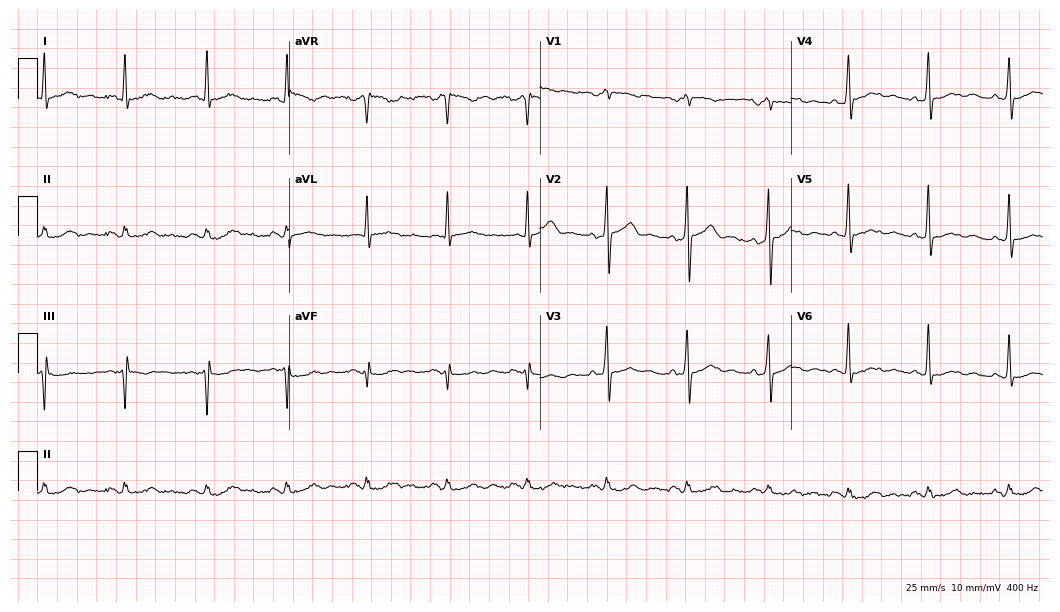
12-lead ECG from a 71-year-old man. Screened for six findings — first-degree AV block, right bundle branch block (RBBB), left bundle branch block (LBBB), sinus bradycardia, atrial fibrillation (AF), sinus tachycardia — none is recorded. Other findings, if any, are not listed.